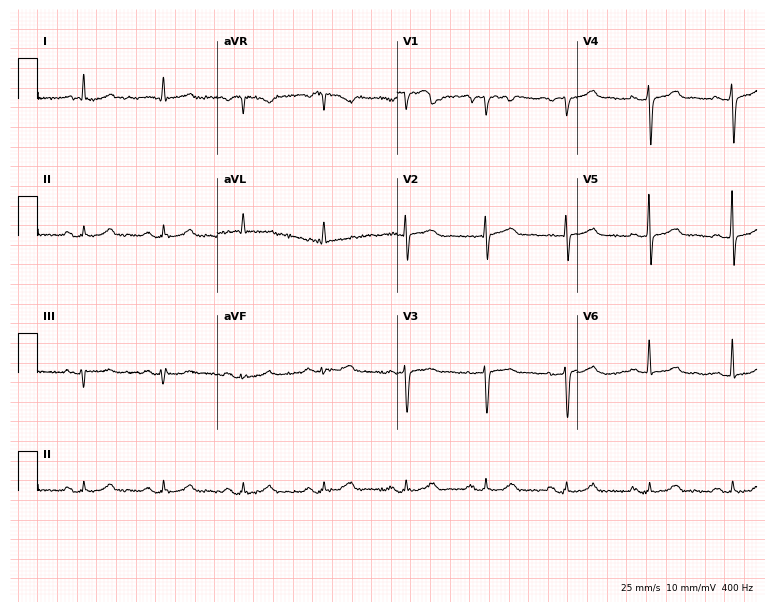
Electrocardiogram, a man, 72 years old. Of the six screened findings (first-degree AV block, right bundle branch block (RBBB), left bundle branch block (LBBB), sinus bradycardia, atrial fibrillation (AF), sinus tachycardia), none is recorded.